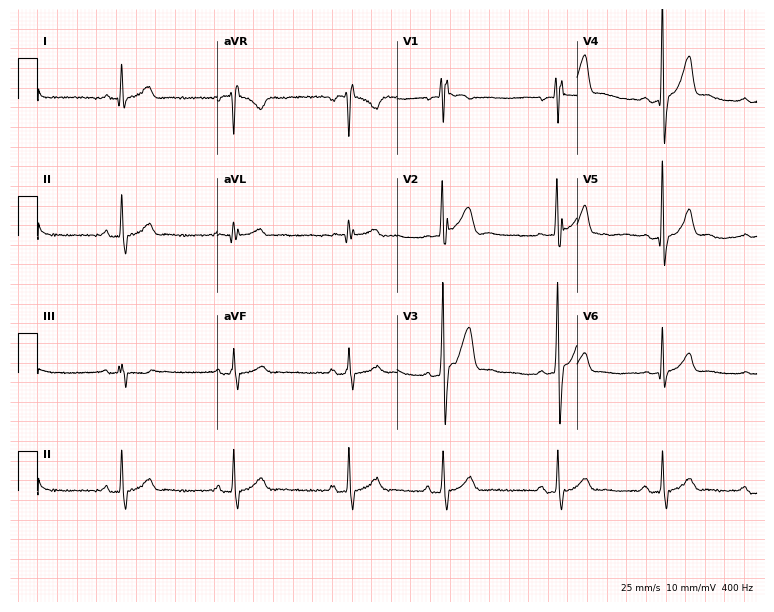
12-lead ECG from a 31-year-old man. Screened for six findings — first-degree AV block, right bundle branch block, left bundle branch block, sinus bradycardia, atrial fibrillation, sinus tachycardia — none is recorded.